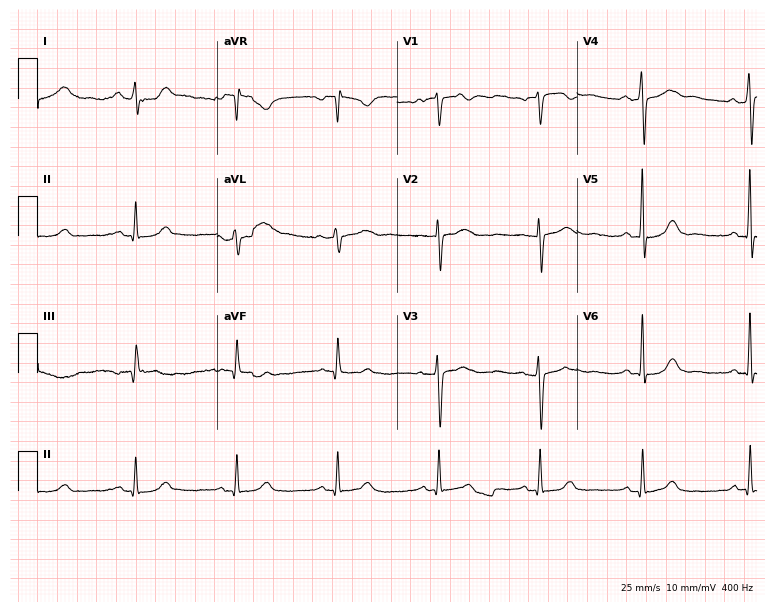
12-lead ECG (7.3-second recording at 400 Hz) from a 73-year-old male patient. Screened for six findings — first-degree AV block, right bundle branch block (RBBB), left bundle branch block (LBBB), sinus bradycardia, atrial fibrillation (AF), sinus tachycardia — none is recorded.